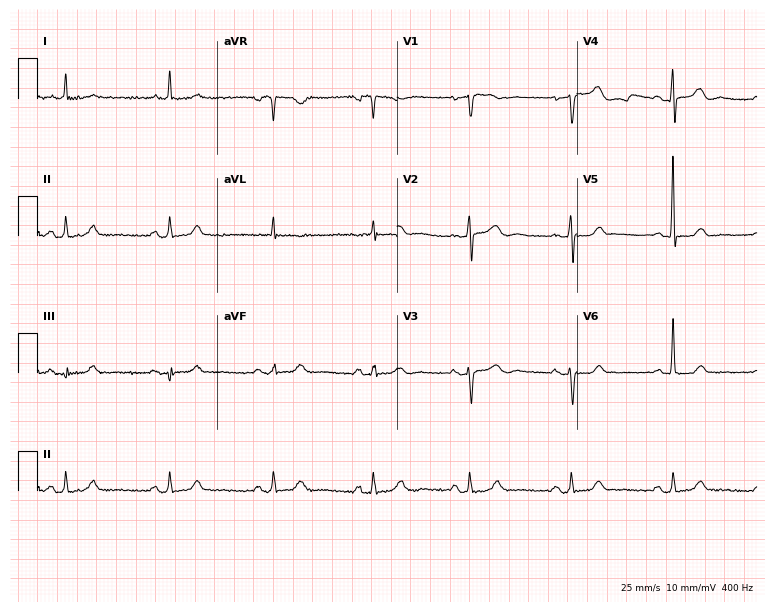
Resting 12-lead electrocardiogram. Patient: a 66-year-old woman. Read as a normal ECG.